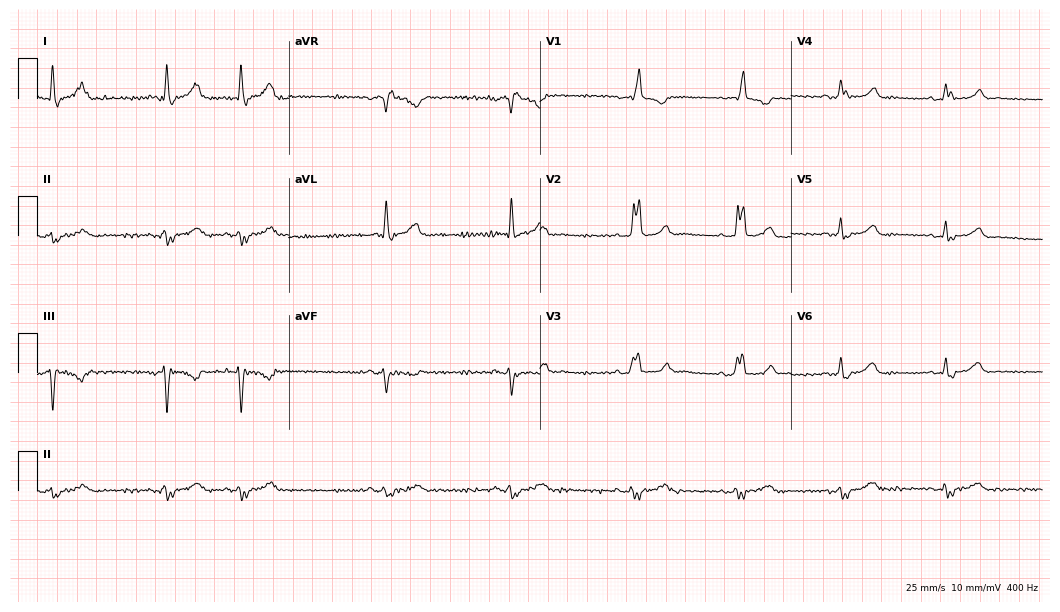
ECG — a 77-year-old female patient. Findings include right bundle branch block (RBBB).